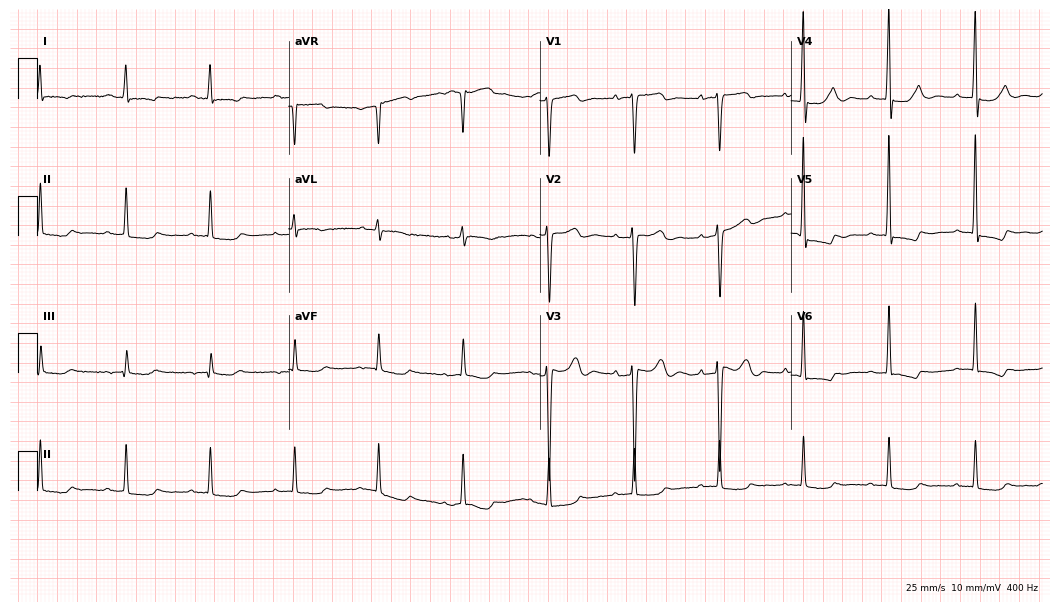
Standard 12-lead ECG recorded from a female patient, 83 years old. None of these six findings is recorded: first-degree AV block, right bundle branch block, left bundle branch block, sinus bradycardia, atrial fibrillation, sinus tachycardia.